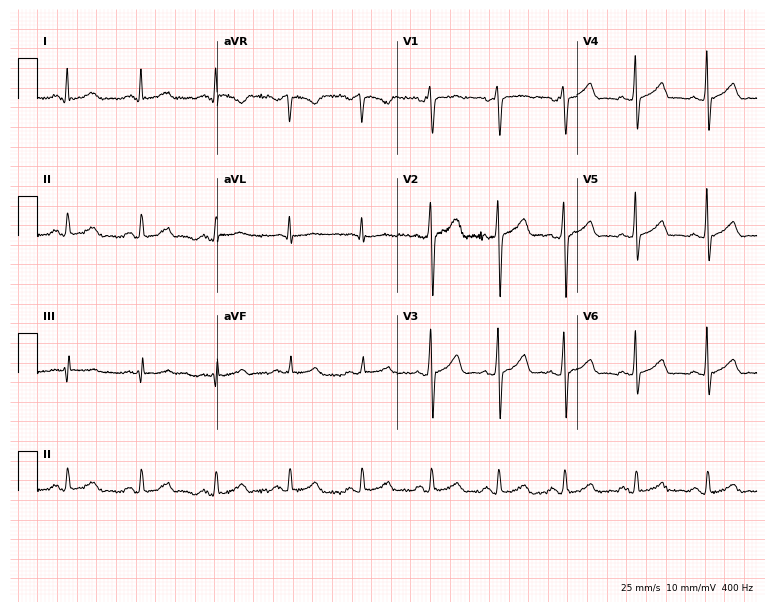
ECG — a man, 31 years old. Labelled as a normal ECG.